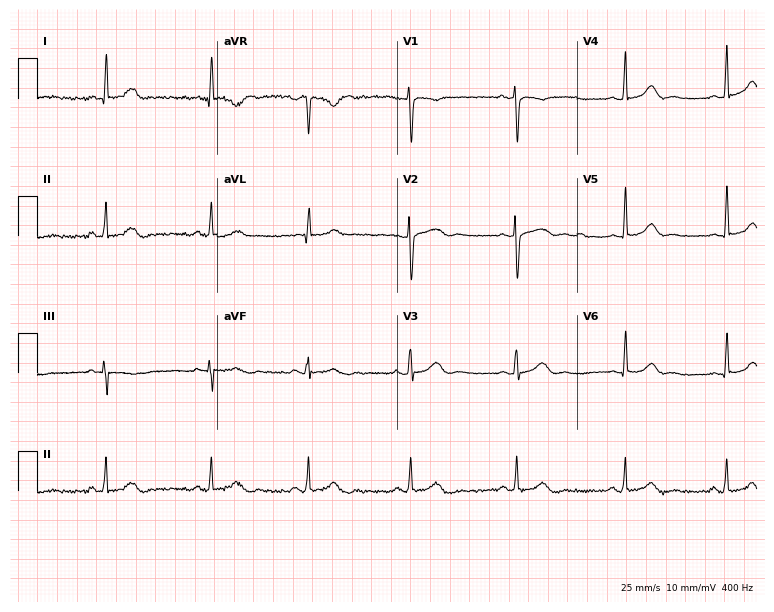
12-lead ECG (7.3-second recording at 400 Hz) from a 30-year-old female patient. Screened for six findings — first-degree AV block, right bundle branch block, left bundle branch block, sinus bradycardia, atrial fibrillation, sinus tachycardia — none is recorded.